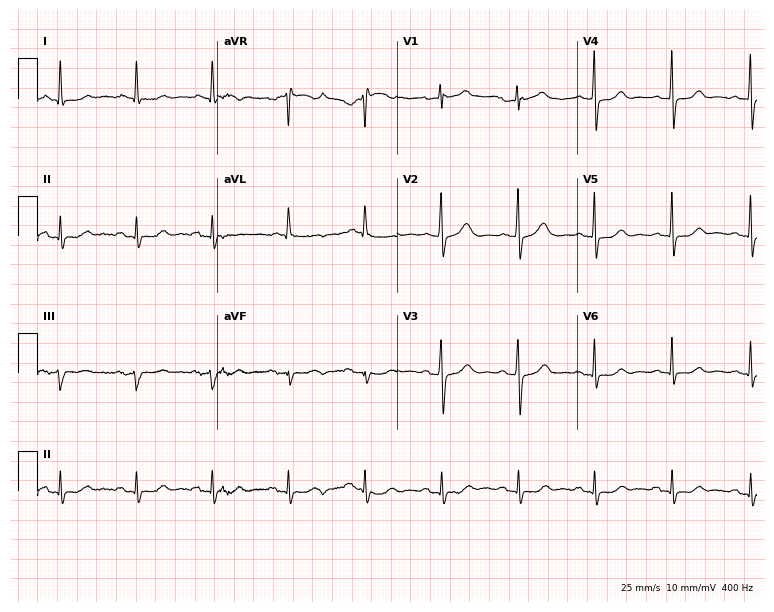
Electrocardiogram (7.3-second recording at 400 Hz), a 70-year-old woman. Overall reading on record: normal ECG.